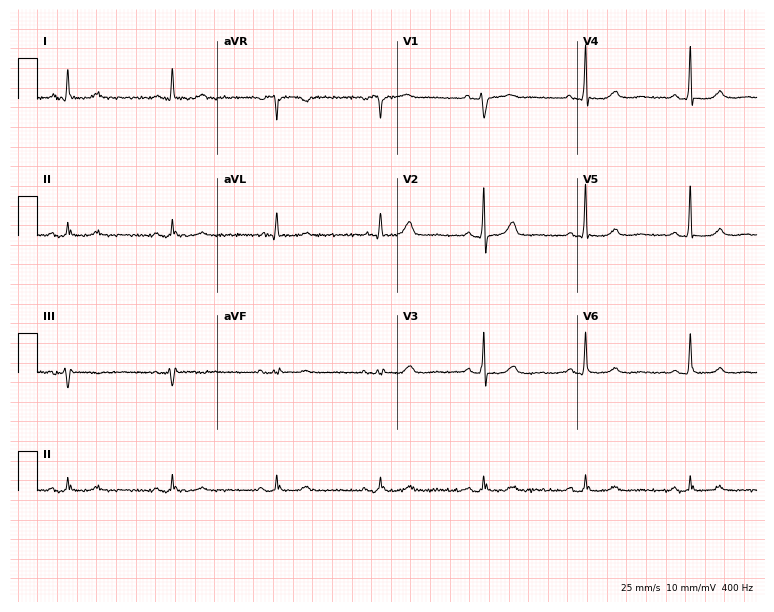
12-lead ECG from a woman, 73 years old (7.3-second recording at 400 Hz). No first-degree AV block, right bundle branch block, left bundle branch block, sinus bradycardia, atrial fibrillation or sinus tachycardia recorded for this tracing.